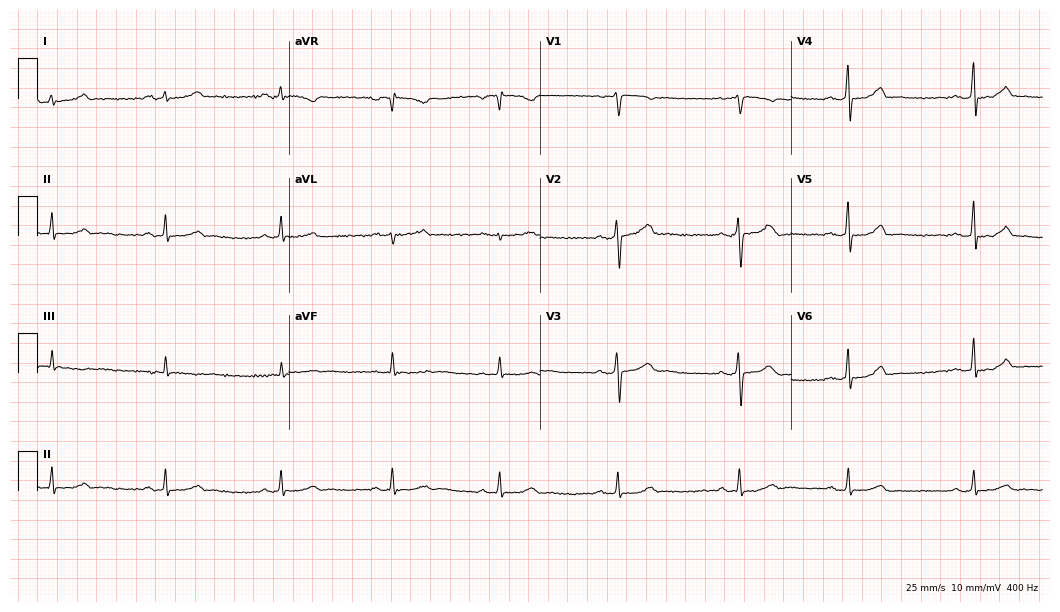
12-lead ECG (10.2-second recording at 400 Hz) from a 39-year-old woman. Screened for six findings — first-degree AV block, right bundle branch block, left bundle branch block, sinus bradycardia, atrial fibrillation, sinus tachycardia — none is recorded. Other findings, if any, are not listed.